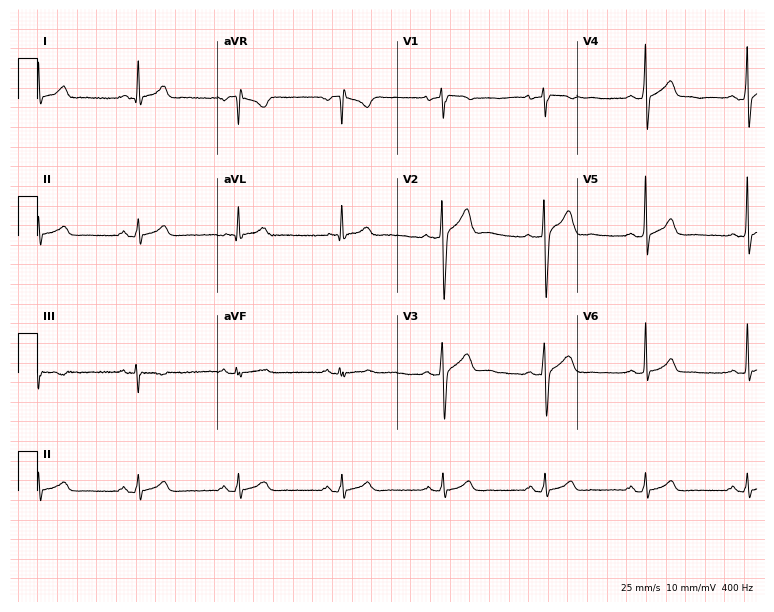
Electrocardiogram (7.3-second recording at 400 Hz), a 27-year-old male. Overall reading on record: normal ECG.